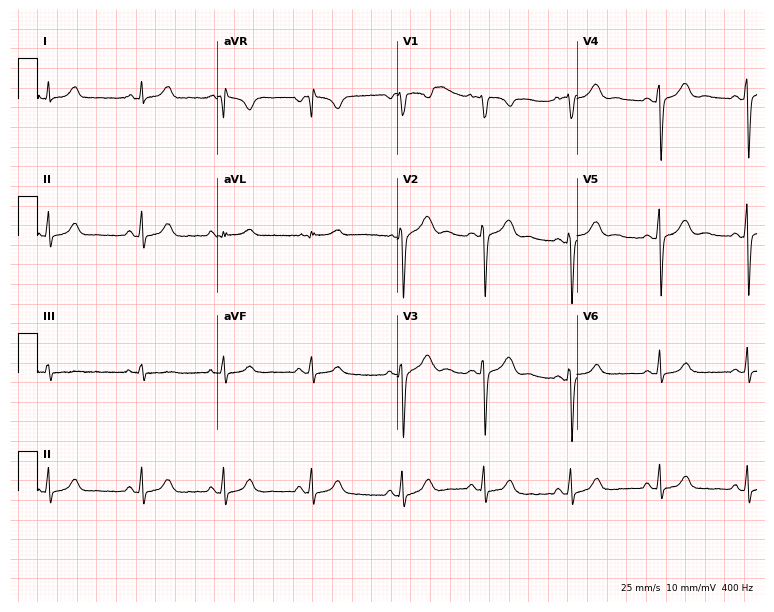
12-lead ECG from a 22-year-old female (7.3-second recording at 400 Hz). Recorded interpretation: within normal limits.